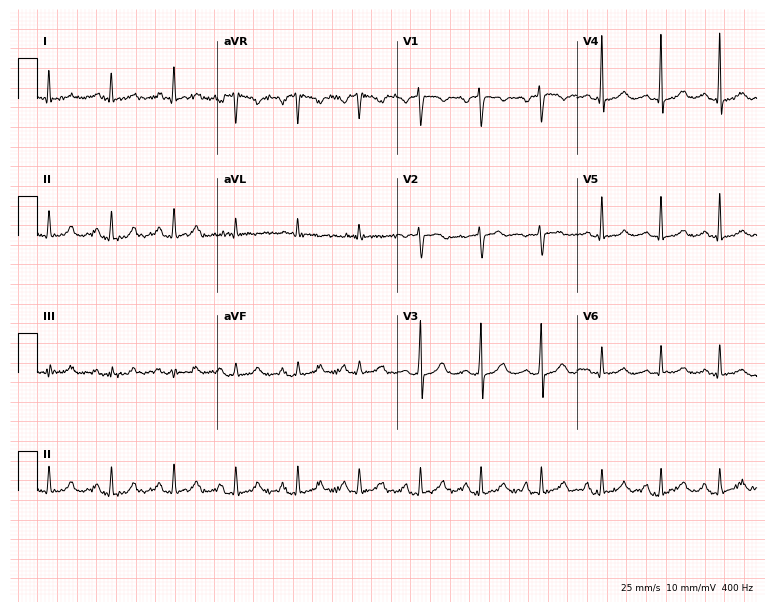
12-lead ECG from a 76-year-old female patient. No first-degree AV block, right bundle branch block, left bundle branch block, sinus bradycardia, atrial fibrillation or sinus tachycardia recorded for this tracing.